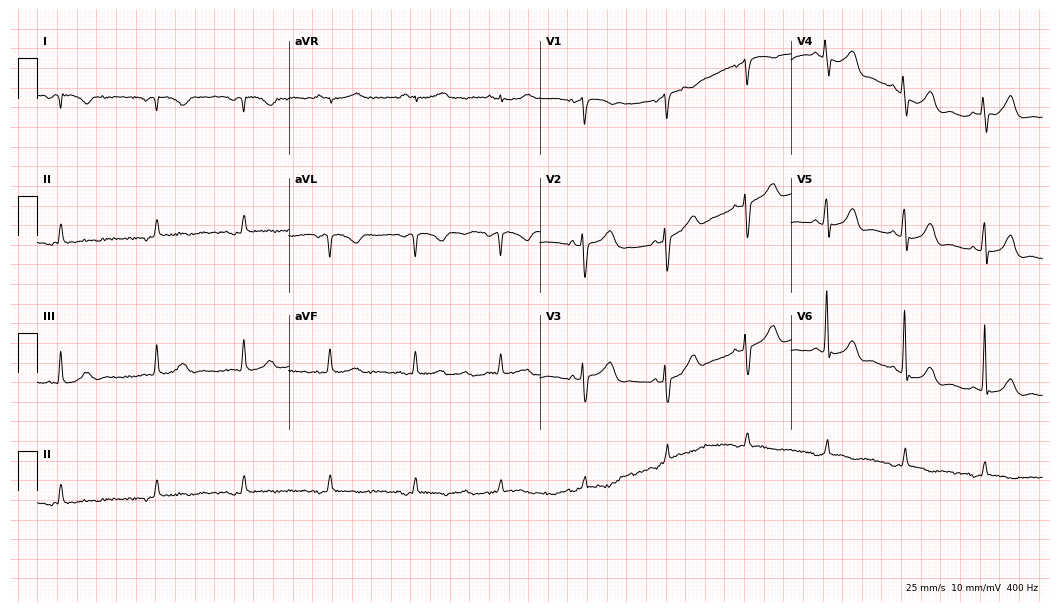
12-lead ECG (10.2-second recording at 400 Hz) from a 52-year-old female. Screened for six findings — first-degree AV block, right bundle branch block, left bundle branch block, sinus bradycardia, atrial fibrillation, sinus tachycardia — none is recorded.